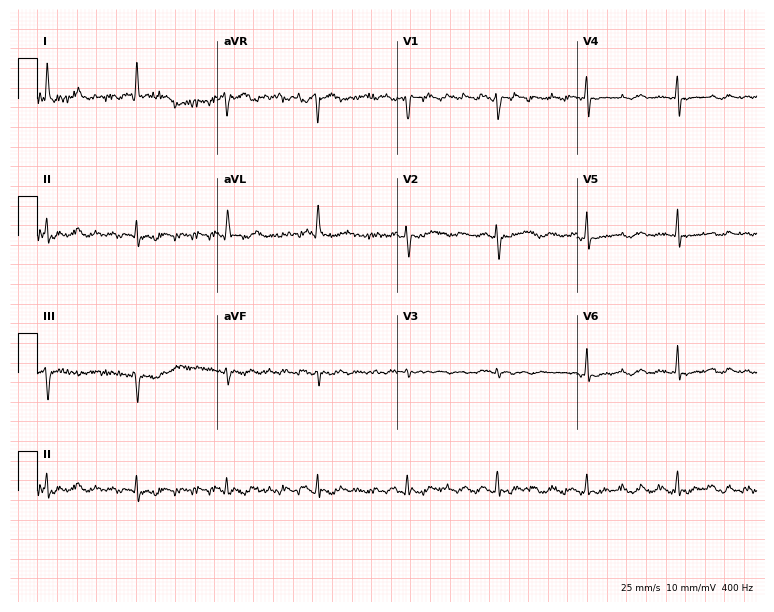
ECG (7.3-second recording at 400 Hz) — a female, 80 years old. Screened for six findings — first-degree AV block, right bundle branch block, left bundle branch block, sinus bradycardia, atrial fibrillation, sinus tachycardia — none is recorded. Only these six findings were labelled.